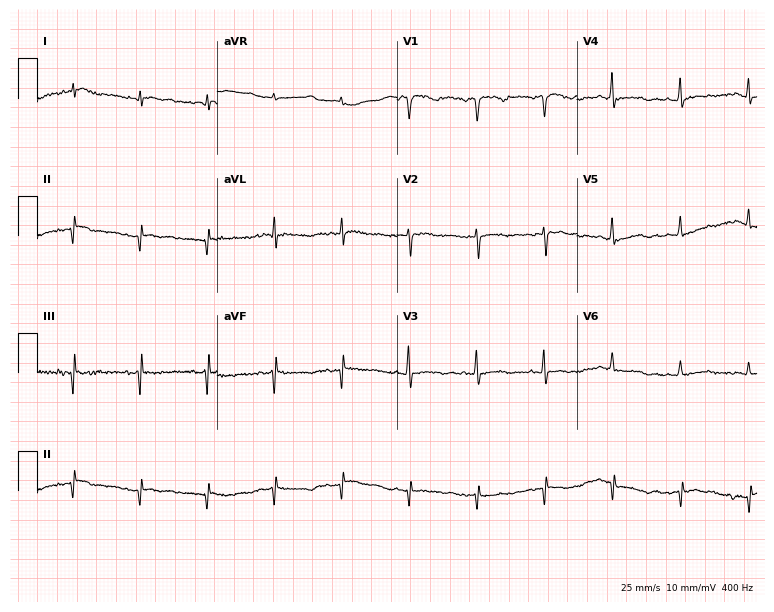
ECG (7.3-second recording at 400 Hz) — a 63-year-old woman. Screened for six findings — first-degree AV block, right bundle branch block, left bundle branch block, sinus bradycardia, atrial fibrillation, sinus tachycardia — none is recorded. Only these six findings were labelled.